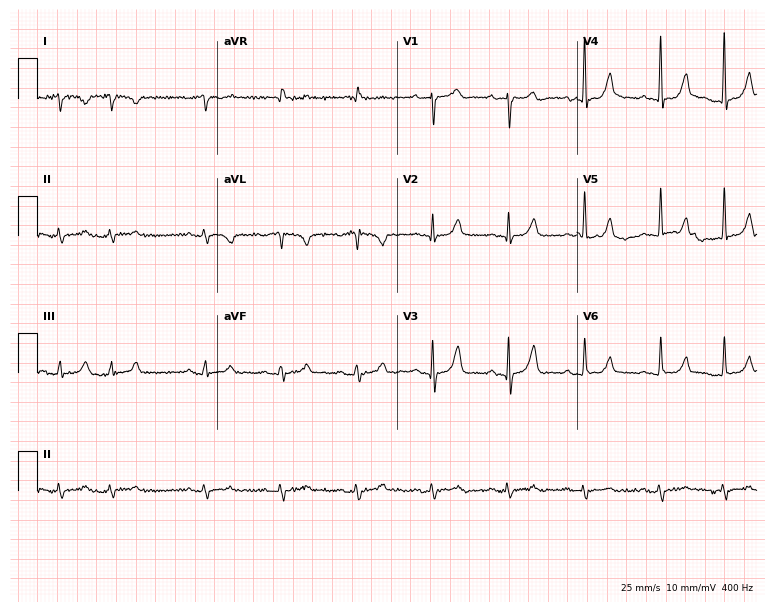
Standard 12-lead ECG recorded from a man, 85 years old (7.3-second recording at 400 Hz). None of these six findings is recorded: first-degree AV block, right bundle branch block, left bundle branch block, sinus bradycardia, atrial fibrillation, sinus tachycardia. Other findings, if any, are not listed.